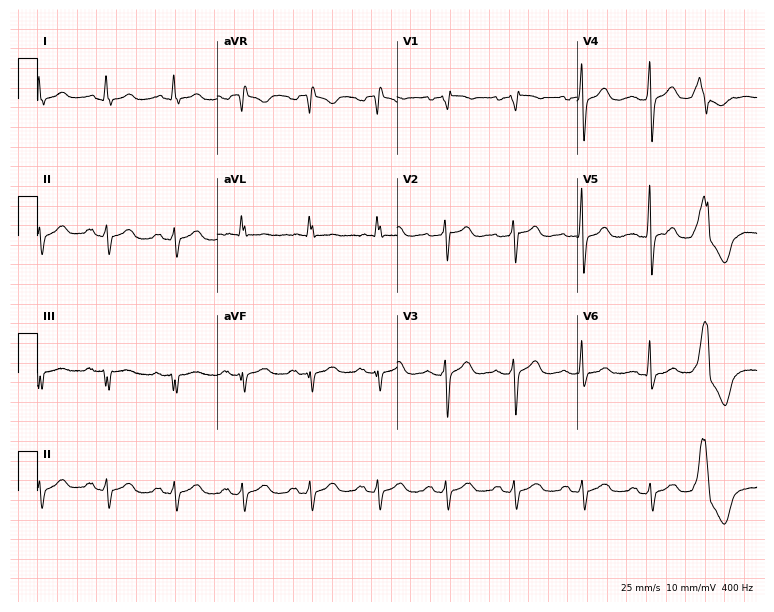
Resting 12-lead electrocardiogram (7.3-second recording at 400 Hz). Patient: a 47-year-old woman. None of these six findings is recorded: first-degree AV block, right bundle branch block, left bundle branch block, sinus bradycardia, atrial fibrillation, sinus tachycardia. Findings outside these six are not listed.